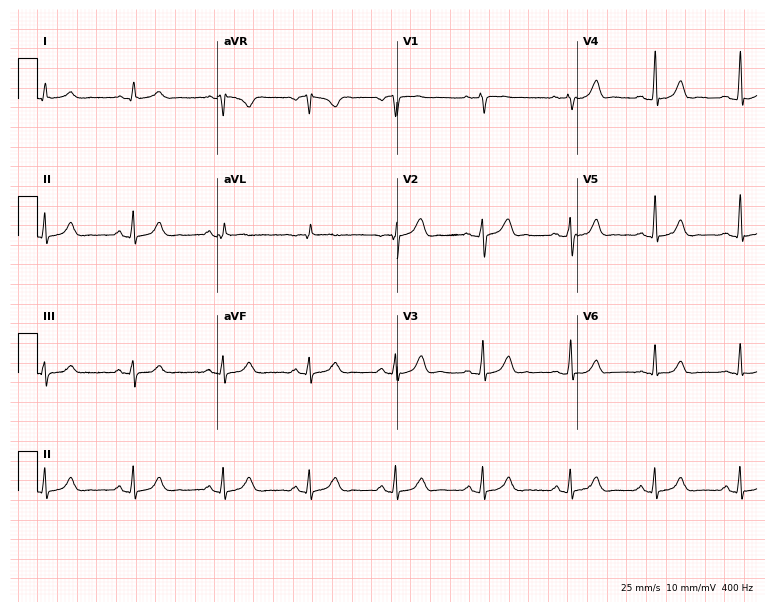
12-lead ECG from a man, 39 years old. Recorded interpretation: within normal limits.